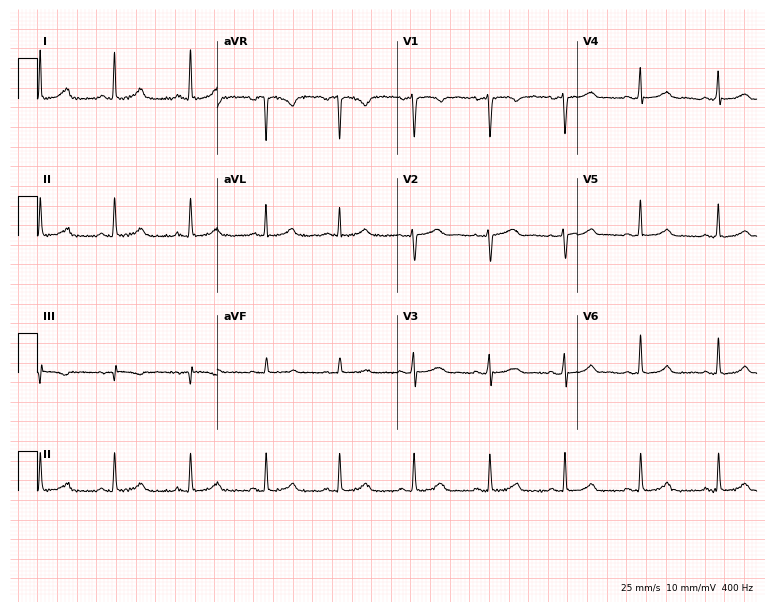
Electrocardiogram, a female, 30 years old. Overall reading on record: normal ECG.